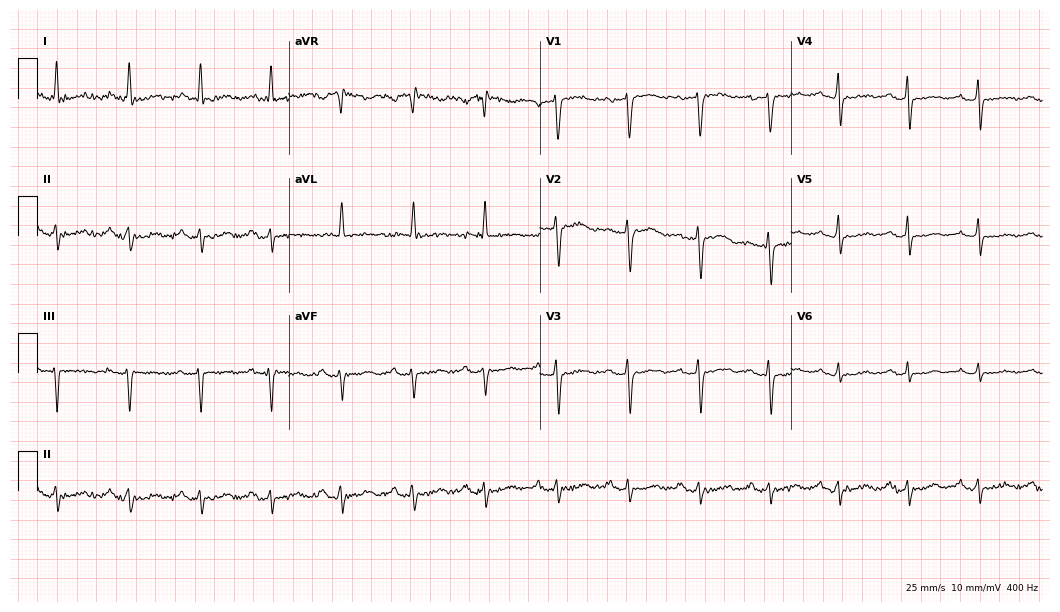
ECG — a 72-year-old female patient. Screened for six findings — first-degree AV block, right bundle branch block, left bundle branch block, sinus bradycardia, atrial fibrillation, sinus tachycardia — none is recorded.